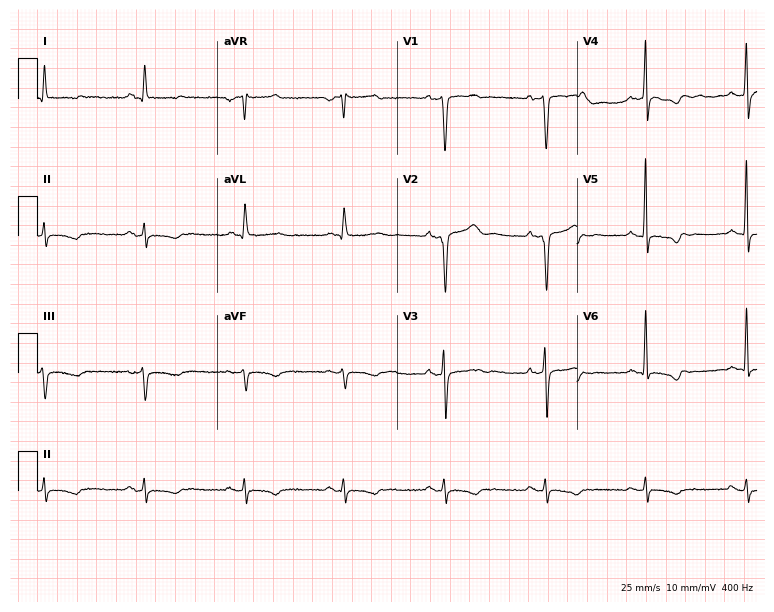
12-lead ECG (7.3-second recording at 400 Hz) from a man, 73 years old. Screened for six findings — first-degree AV block, right bundle branch block (RBBB), left bundle branch block (LBBB), sinus bradycardia, atrial fibrillation (AF), sinus tachycardia — none is recorded. Other findings, if any, are not listed.